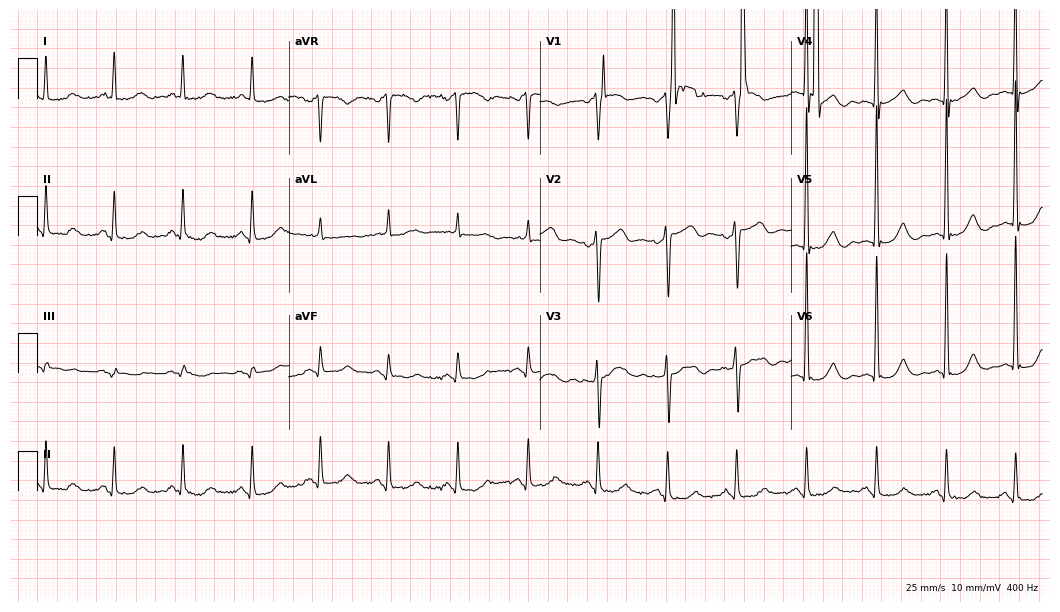
12-lead ECG from a 60-year-old man (10.2-second recording at 400 Hz). No first-degree AV block, right bundle branch block, left bundle branch block, sinus bradycardia, atrial fibrillation or sinus tachycardia recorded for this tracing. Findings outside these six are not listed.